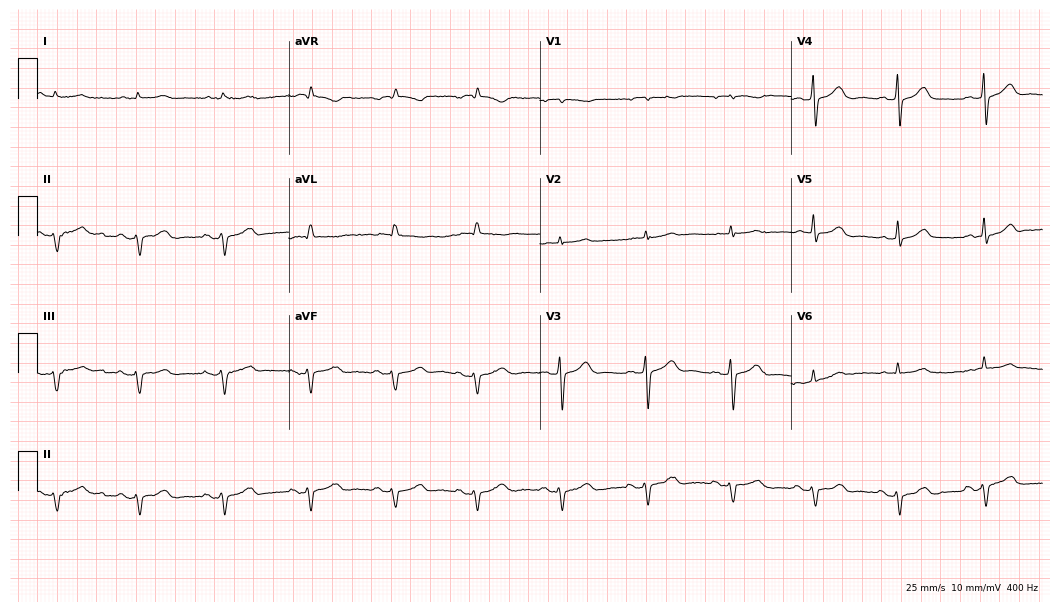
ECG (10.2-second recording at 400 Hz) — a male, 78 years old. Screened for six findings — first-degree AV block, right bundle branch block, left bundle branch block, sinus bradycardia, atrial fibrillation, sinus tachycardia — none is recorded. Other findings, if any, are not listed.